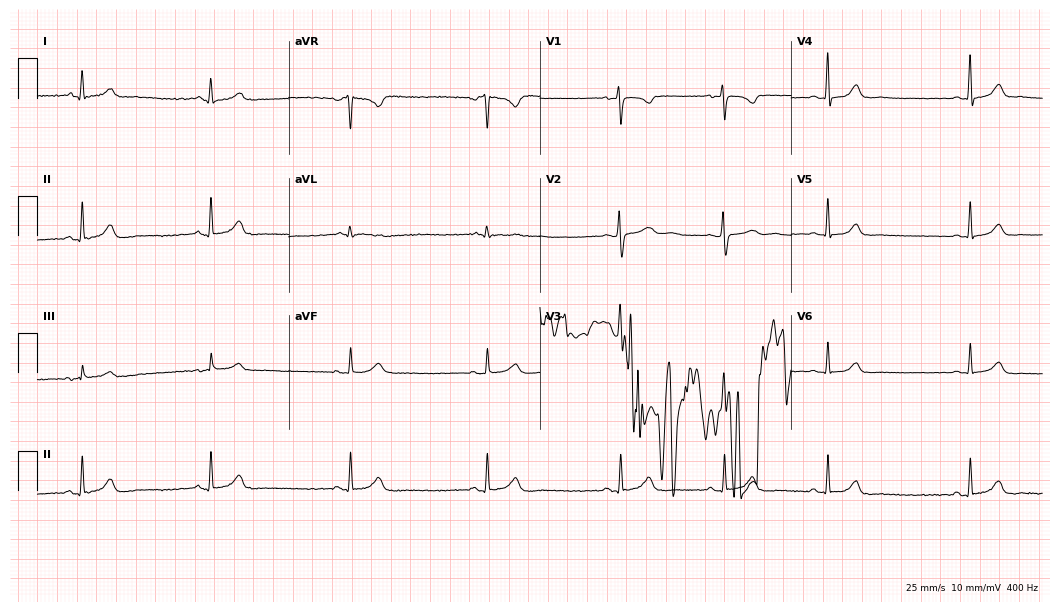
12-lead ECG from a female patient, 22 years old. Findings include sinus bradycardia (a sinus rate of 50 beats per minute or less).